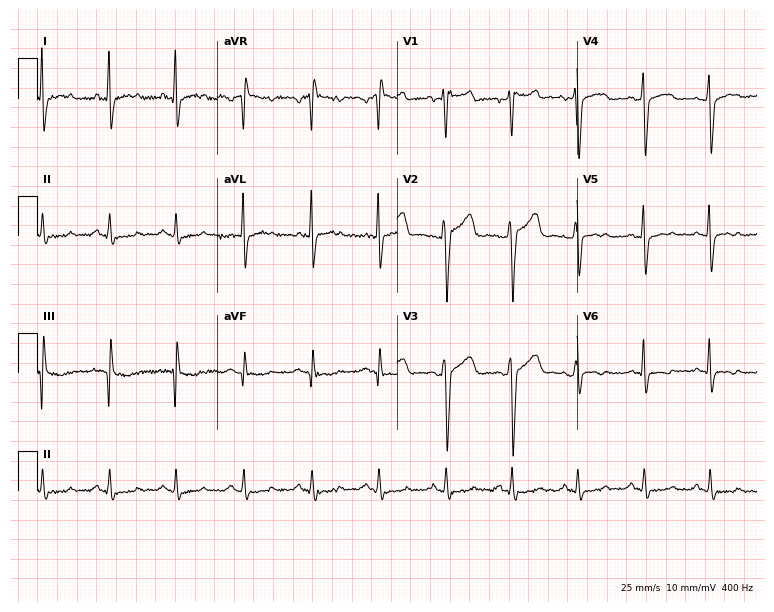
ECG — a 43-year-old male. Screened for six findings — first-degree AV block, right bundle branch block, left bundle branch block, sinus bradycardia, atrial fibrillation, sinus tachycardia — none is recorded. Other findings, if any, are not listed.